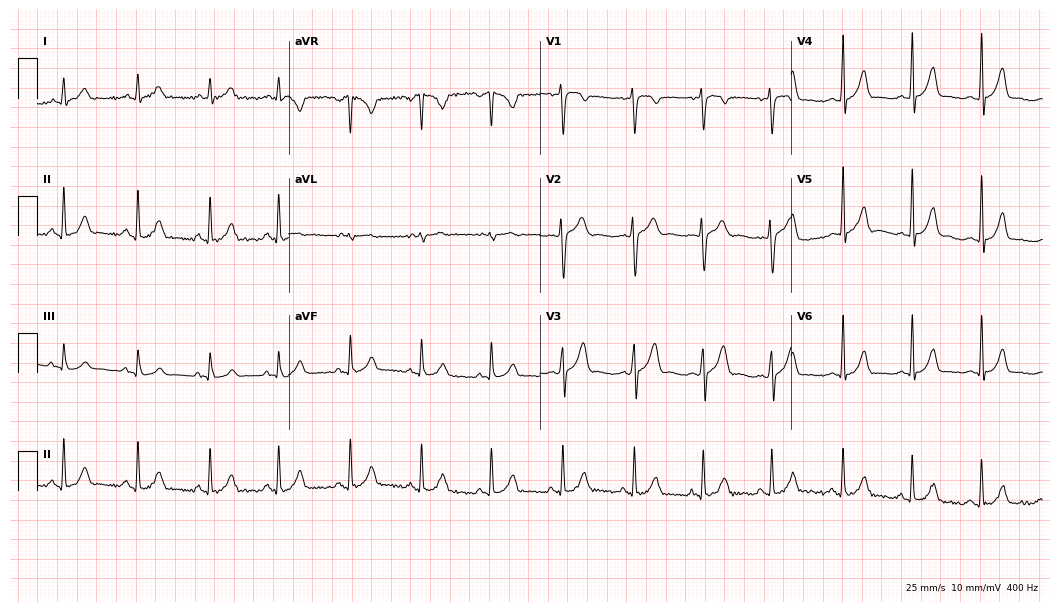
Standard 12-lead ECG recorded from a female patient, 19 years old (10.2-second recording at 400 Hz). Read as a normal ECG.